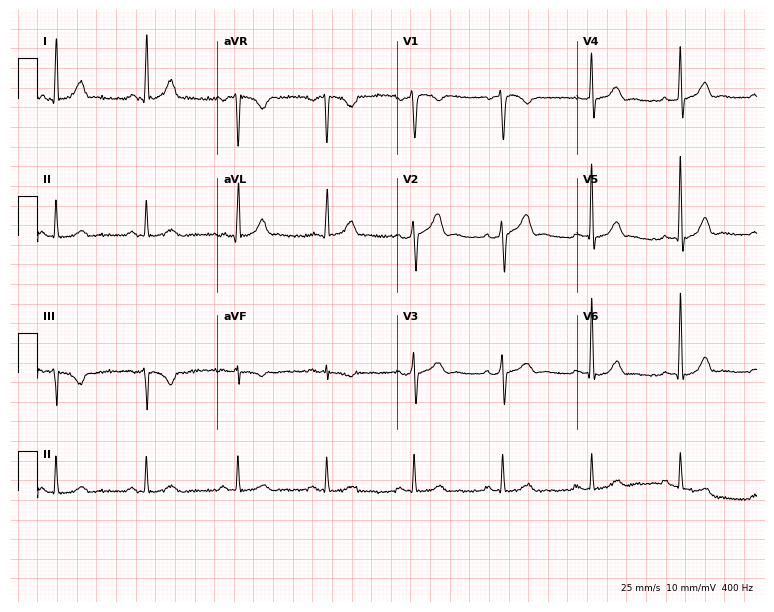
12-lead ECG from a male, 47 years old. Labelled as a normal ECG.